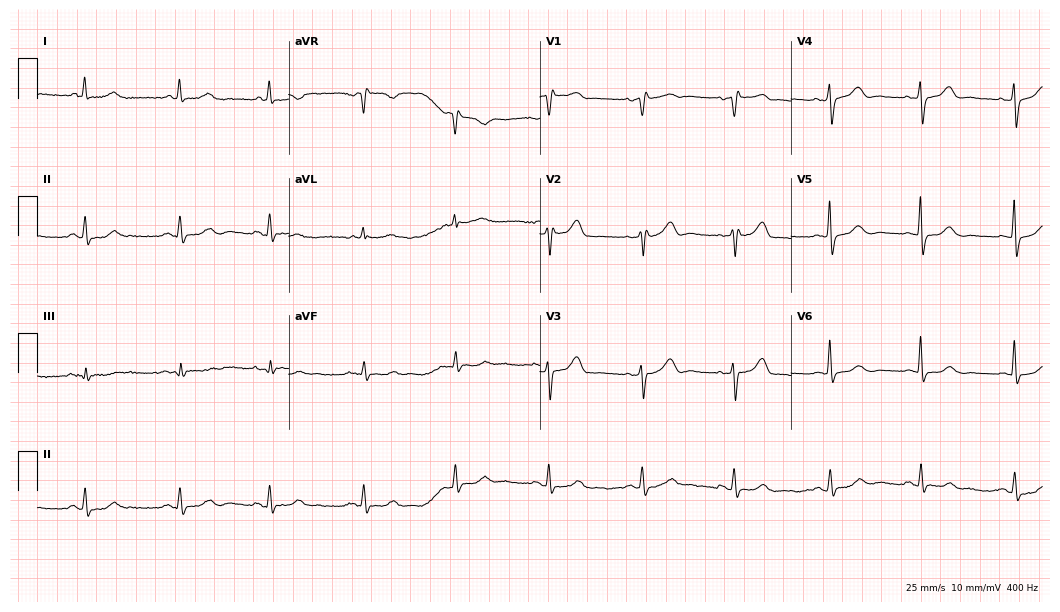
12-lead ECG from a female patient, 71 years old (10.2-second recording at 400 Hz). No first-degree AV block, right bundle branch block, left bundle branch block, sinus bradycardia, atrial fibrillation or sinus tachycardia recorded for this tracing.